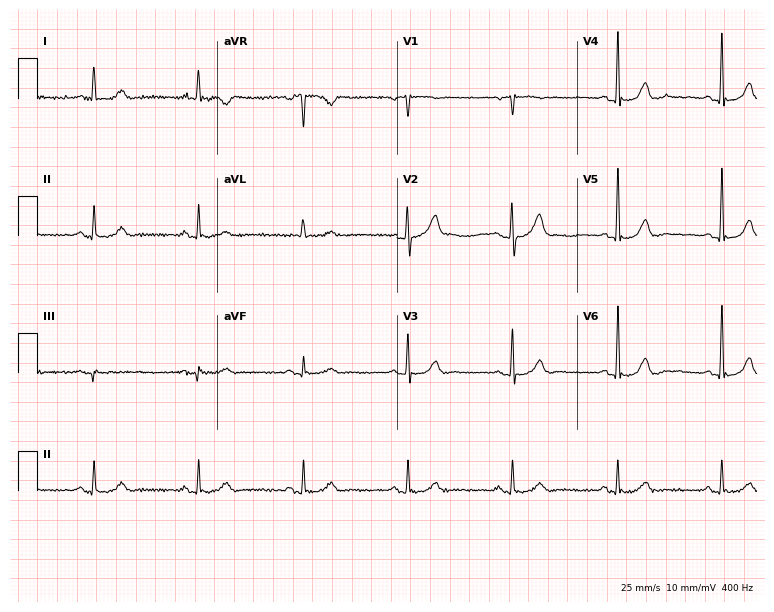
12-lead ECG (7.3-second recording at 400 Hz) from a 72-year-old male patient. Labelled as a normal ECG.